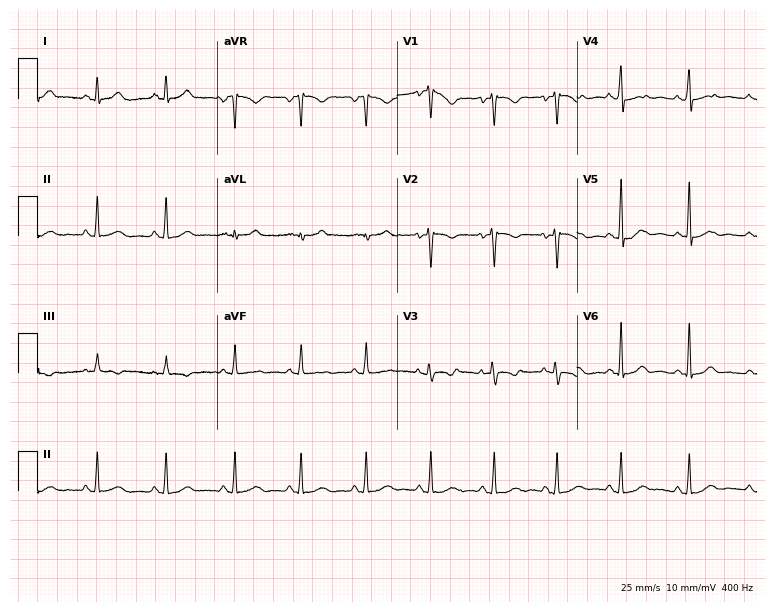
Standard 12-lead ECG recorded from a female, 30 years old (7.3-second recording at 400 Hz). None of these six findings is recorded: first-degree AV block, right bundle branch block, left bundle branch block, sinus bradycardia, atrial fibrillation, sinus tachycardia. Other findings, if any, are not listed.